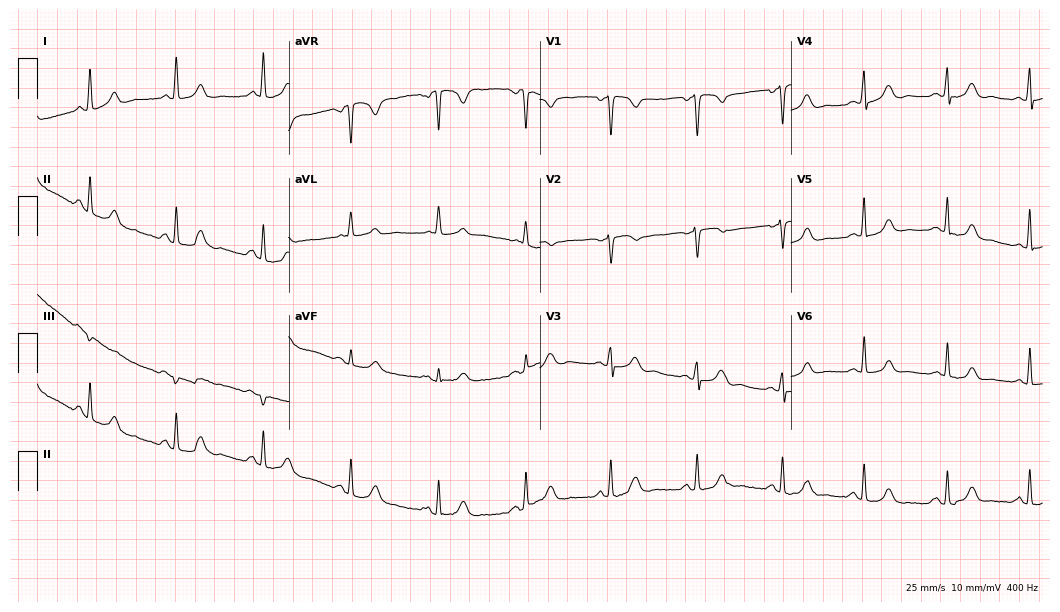
12-lead ECG from a female patient, 47 years old. Recorded interpretation: within normal limits.